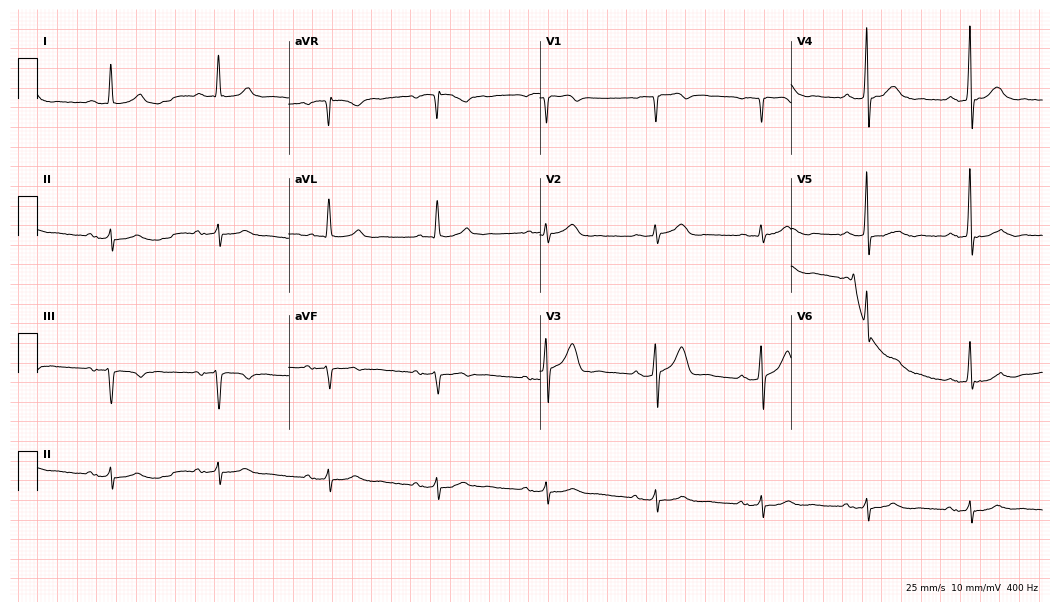
12-lead ECG from a 60-year-old male (10.2-second recording at 400 Hz). Shows first-degree AV block.